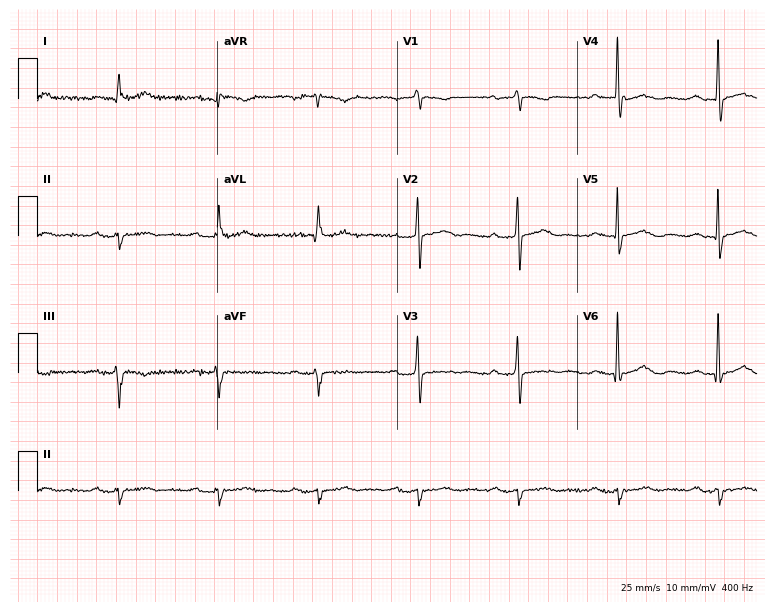
12-lead ECG from a male, 84 years old. No first-degree AV block, right bundle branch block (RBBB), left bundle branch block (LBBB), sinus bradycardia, atrial fibrillation (AF) or sinus tachycardia recorded for this tracing. Other findings, if any, are not listed.